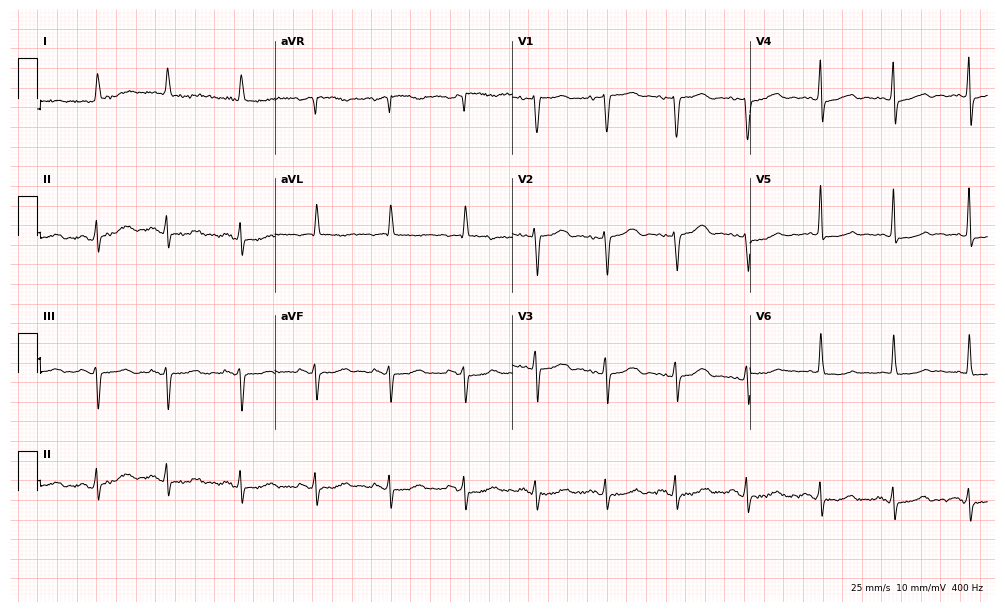
Electrocardiogram, a female patient, 85 years old. Of the six screened findings (first-degree AV block, right bundle branch block, left bundle branch block, sinus bradycardia, atrial fibrillation, sinus tachycardia), none is recorded.